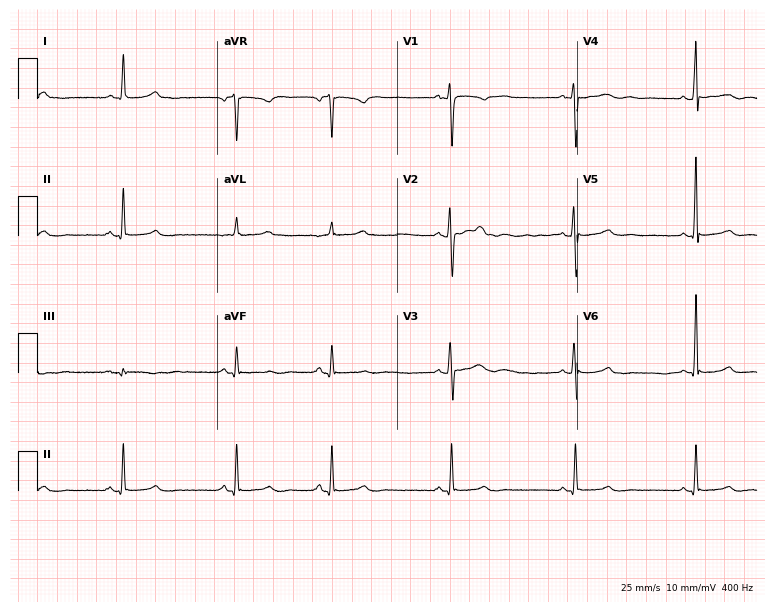
12-lead ECG from a 31-year-old woman. Screened for six findings — first-degree AV block, right bundle branch block, left bundle branch block, sinus bradycardia, atrial fibrillation, sinus tachycardia — none is recorded.